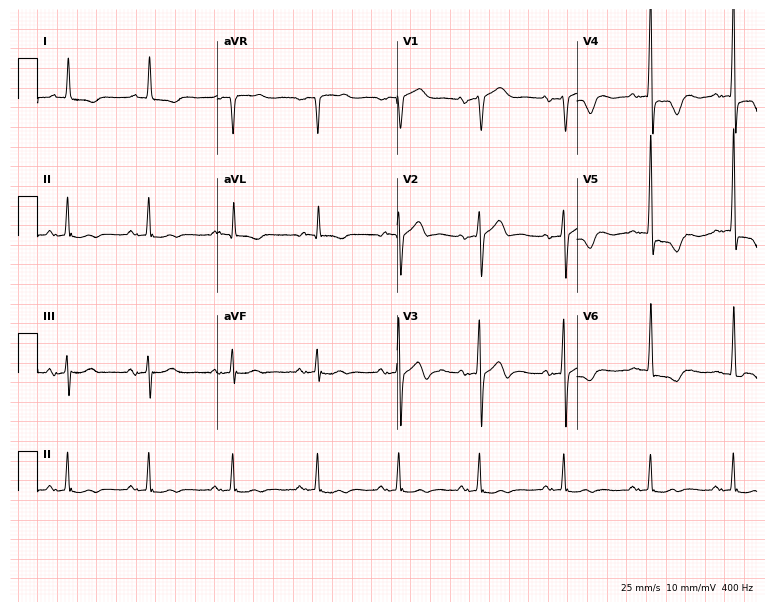
12-lead ECG from a woman, 86 years old. Screened for six findings — first-degree AV block, right bundle branch block (RBBB), left bundle branch block (LBBB), sinus bradycardia, atrial fibrillation (AF), sinus tachycardia — none is recorded. Findings outside these six are not listed.